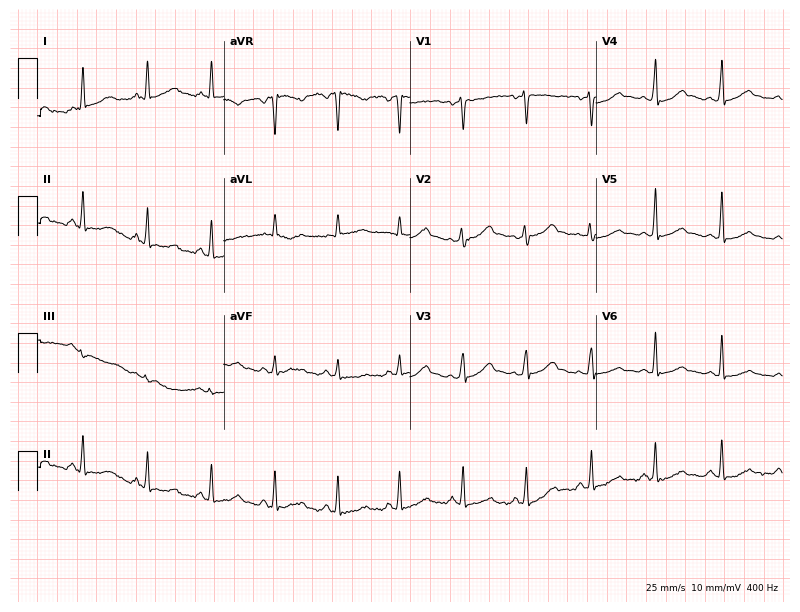
Electrocardiogram (7.6-second recording at 400 Hz), a 39-year-old woman. Of the six screened findings (first-degree AV block, right bundle branch block (RBBB), left bundle branch block (LBBB), sinus bradycardia, atrial fibrillation (AF), sinus tachycardia), none is recorded.